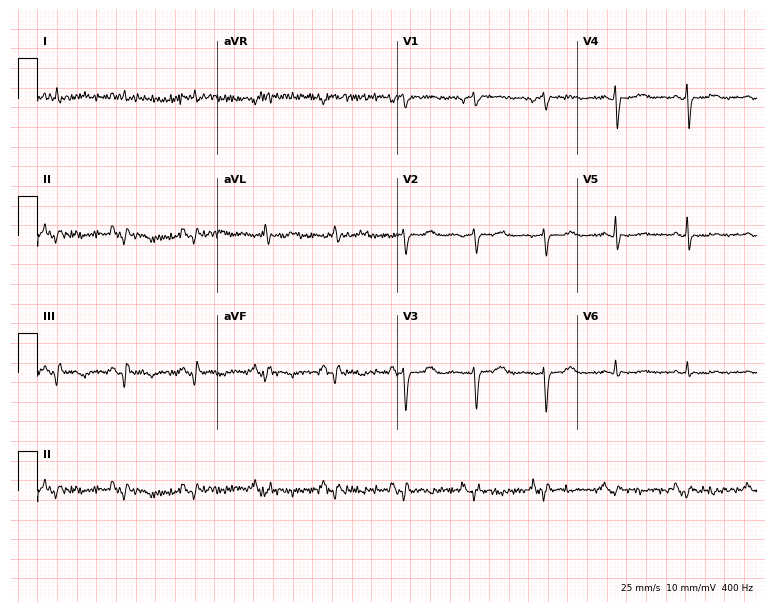
Resting 12-lead electrocardiogram. Patient: a 78-year-old man. None of these six findings is recorded: first-degree AV block, right bundle branch block, left bundle branch block, sinus bradycardia, atrial fibrillation, sinus tachycardia. Other findings, if any, are not listed.